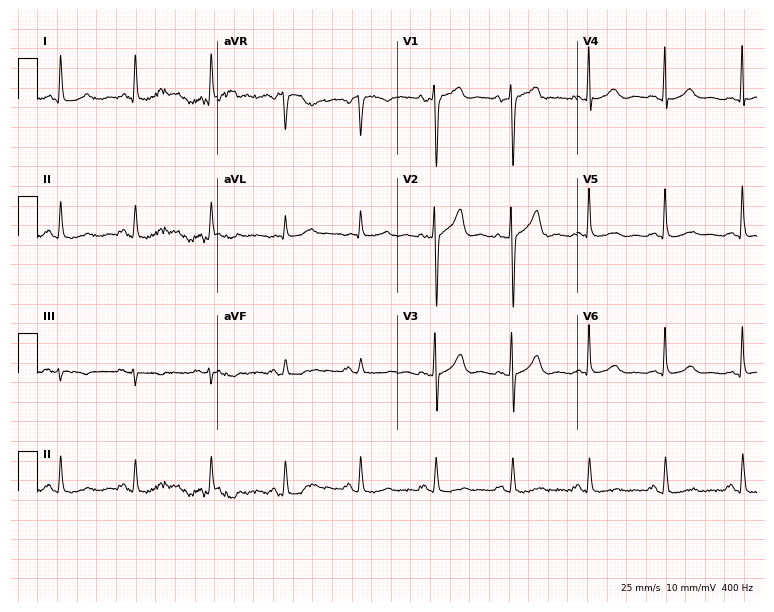
Electrocardiogram (7.3-second recording at 400 Hz), a 65-year-old male patient. Of the six screened findings (first-degree AV block, right bundle branch block, left bundle branch block, sinus bradycardia, atrial fibrillation, sinus tachycardia), none is recorded. Other findings, if any, are not listed.